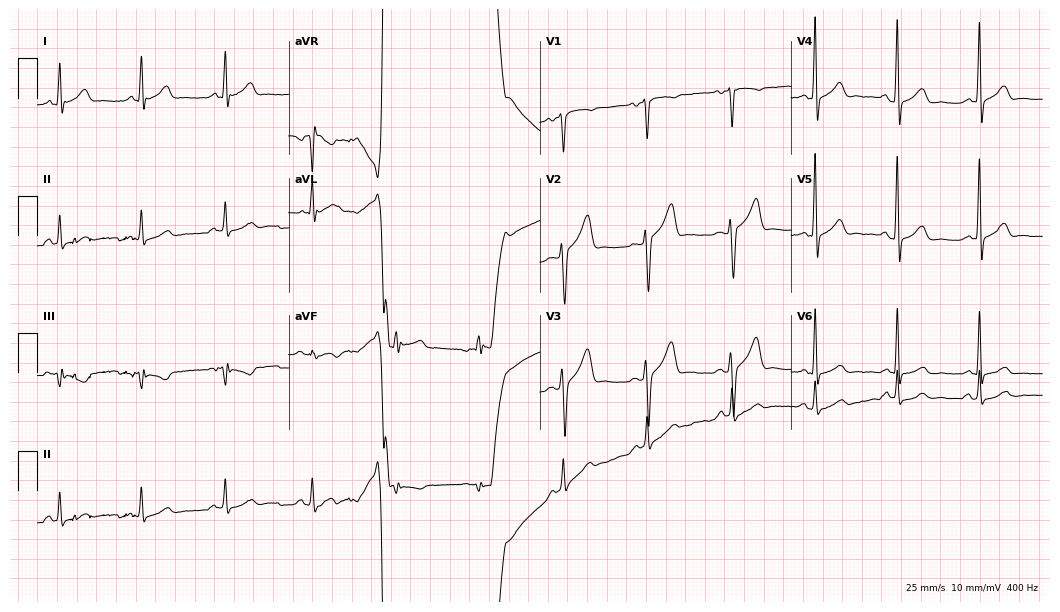
12-lead ECG from a 33-year-old male patient. Screened for six findings — first-degree AV block, right bundle branch block, left bundle branch block, sinus bradycardia, atrial fibrillation, sinus tachycardia — none is recorded. Other findings, if any, are not listed.